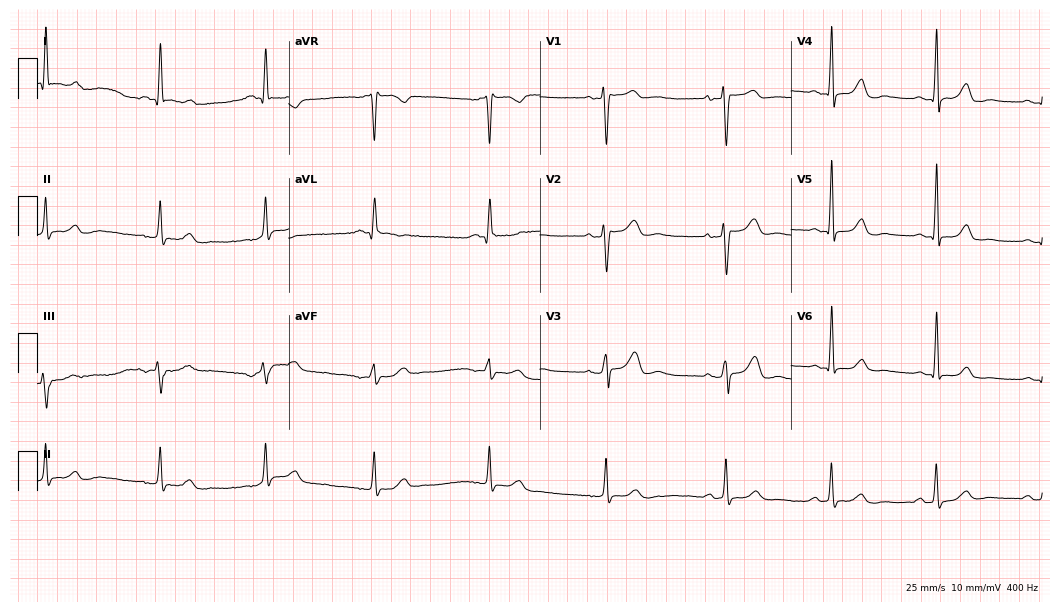
Electrocardiogram (10.2-second recording at 400 Hz), a 61-year-old female patient. Overall reading on record: normal ECG.